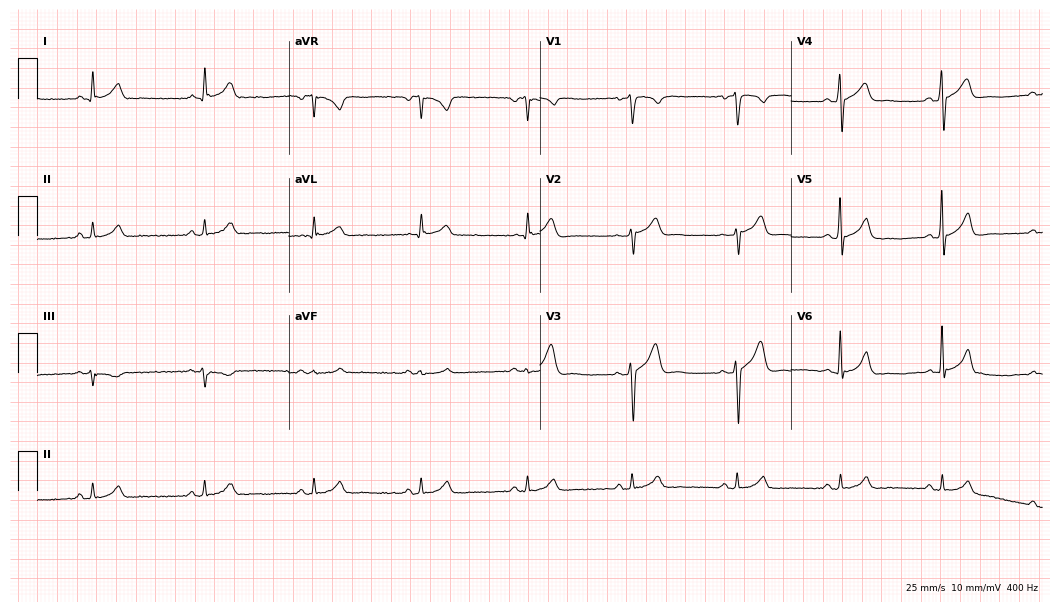
ECG (10.2-second recording at 400 Hz) — a 37-year-old male patient. Labelled as a normal ECG.